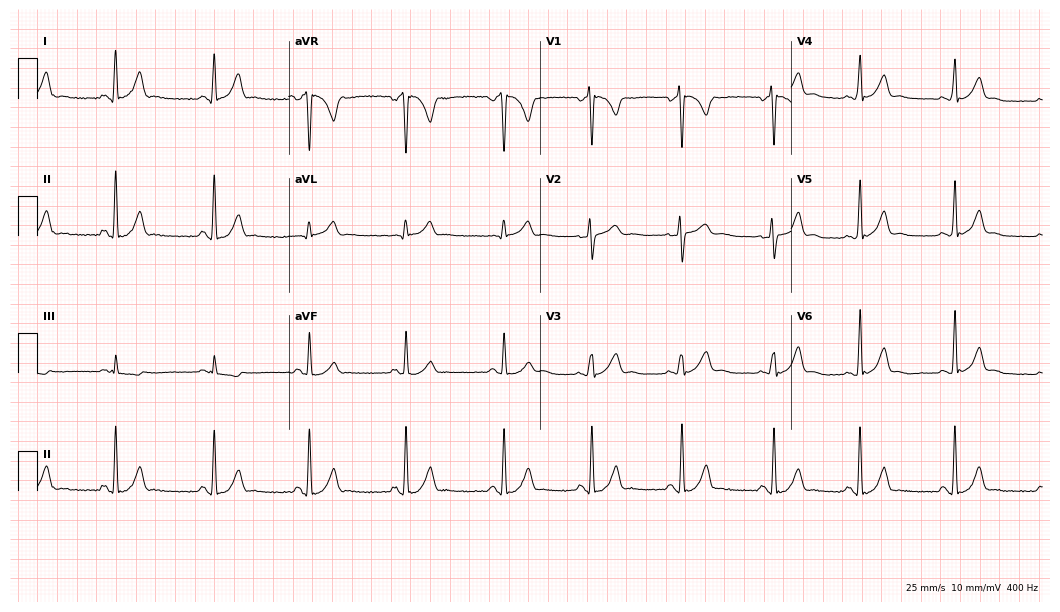
12-lead ECG from a 17-year-old male patient. Labelled as a normal ECG.